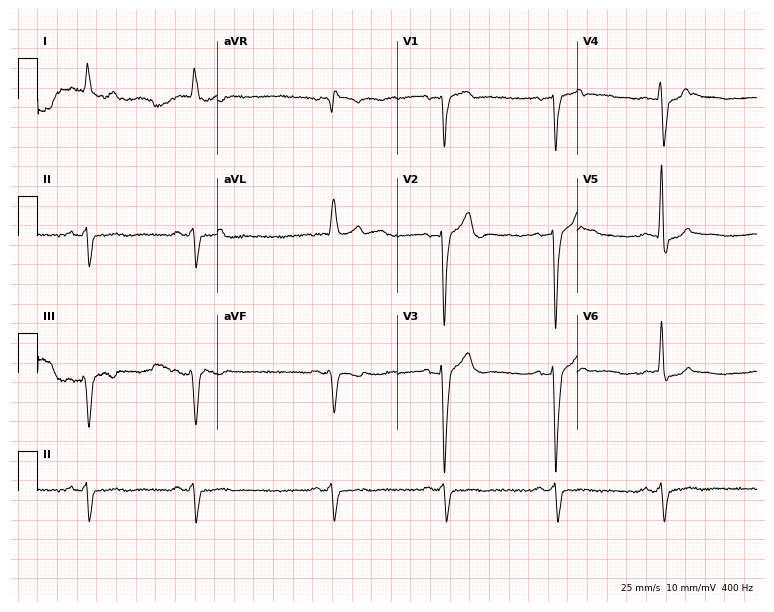
12-lead ECG from a male, 67 years old. Screened for six findings — first-degree AV block, right bundle branch block, left bundle branch block, sinus bradycardia, atrial fibrillation, sinus tachycardia — none is recorded. Only these six findings were labelled.